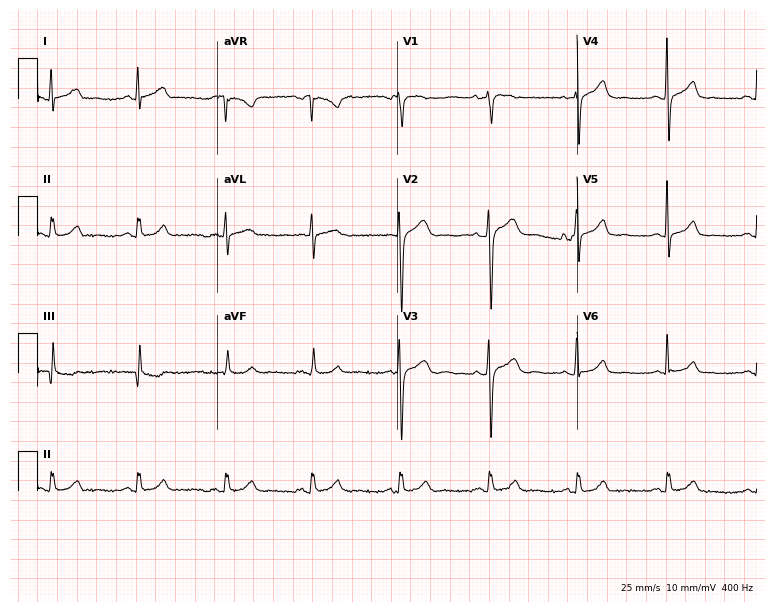
12-lead ECG (7.3-second recording at 400 Hz) from a female, 58 years old. Labelled as a normal ECG.